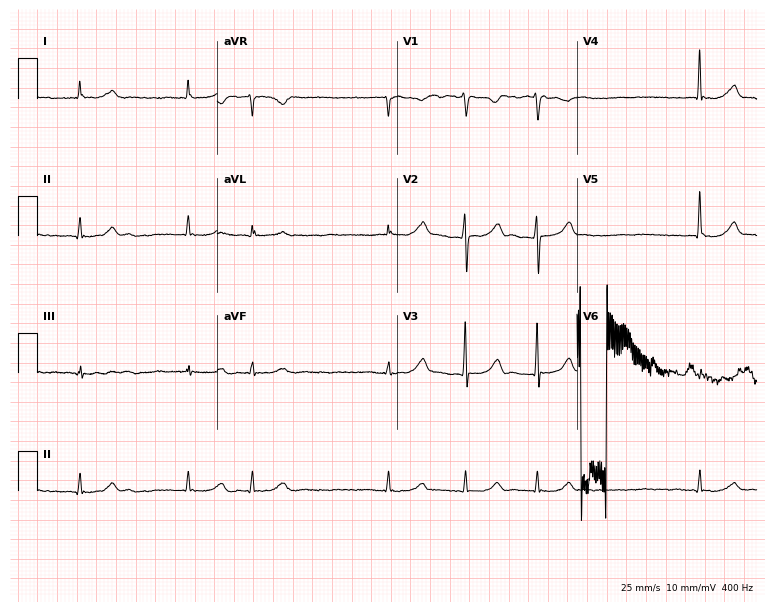
ECG — a female, 62 years old. Findings include atrial fibrillation (AF).